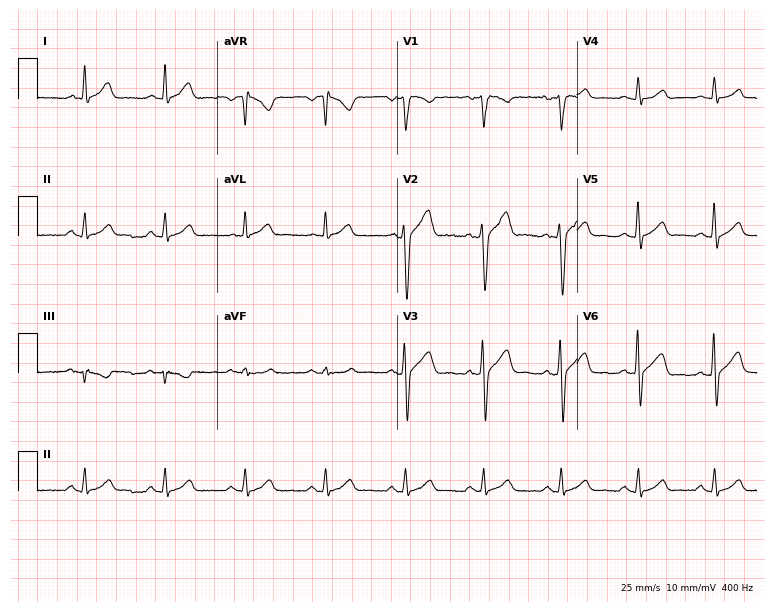
ECG (7.3-second recording at 400 Hz) — a 41-year-old man. Labelled as a normal ECG.